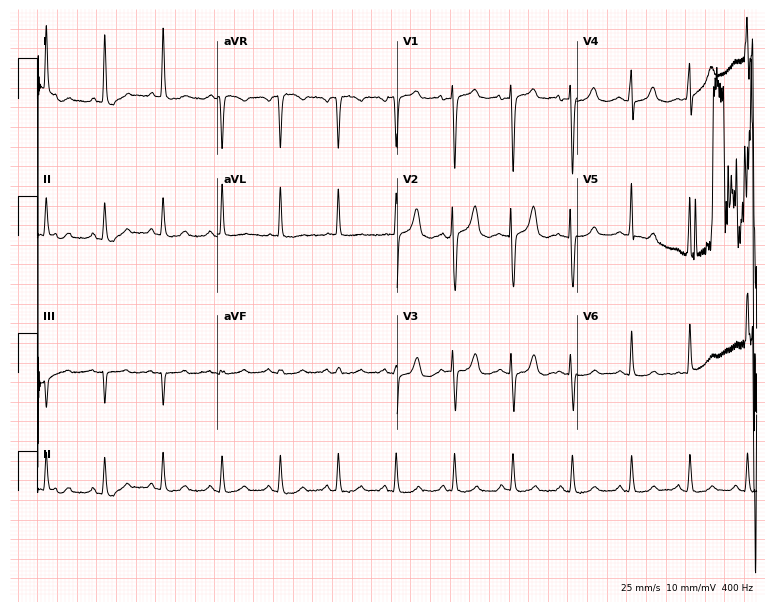
Standard 12-lead ECG recorded from a female patient, 85 years old (7.3-second recording at 400 Hz). The tracing shows sinus tachycardia (a sinus rate of 100 beats per minute or more).